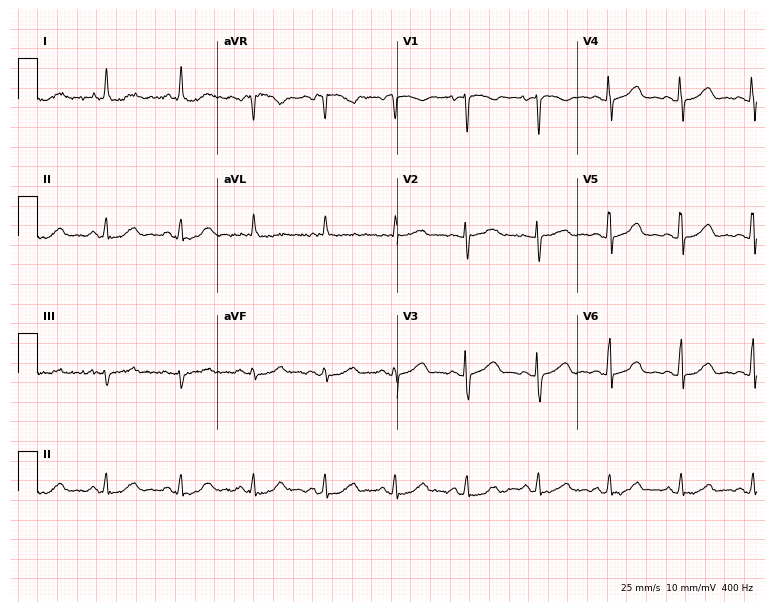
ECG — a 47-year-old female. Screened for six findings — first-degree AV block, right bundle branch block (RBBB), left bundle branch block (LBBB), sinus bradycardia, atrial fibrillation (AF), sinus tachycardia — none is recorded. Findings outside these six are not listed.